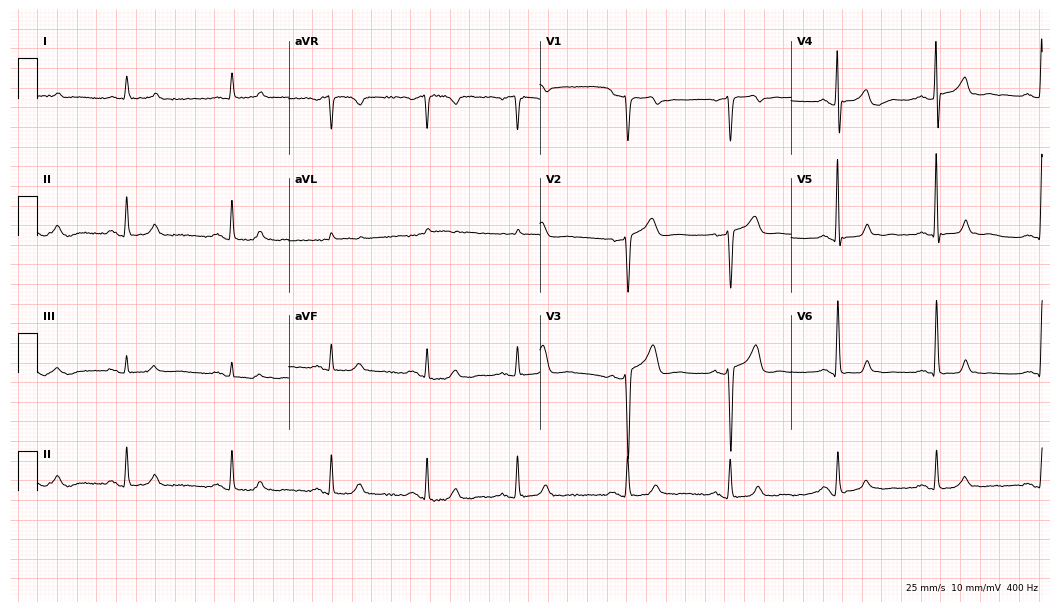
12-lead ECG (10.2-second recording at 400 Hz) from a 79-year-old man. Labelled as a normal ECG.